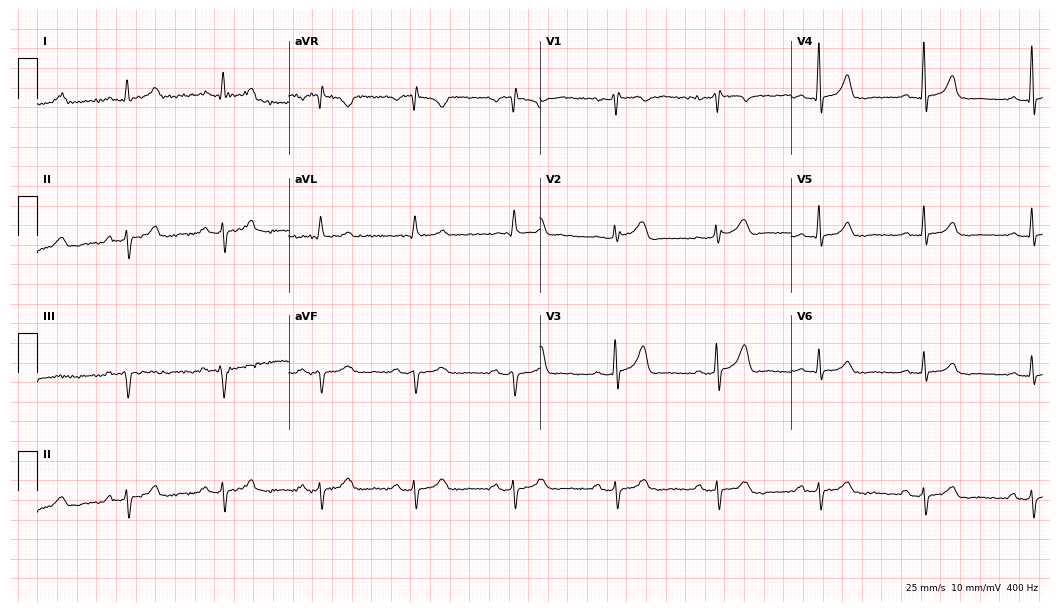
12-lead ECG (10.2-second recording at 400 Hz) from a woman, 69 years old. Screened for six findings — first-degree AV block, right bundle branch block (RBBB), left bundle branch block (LBBB), sinus bradycardia, atrial fibrillation (AF), sinus tachycardia — none is recorded.